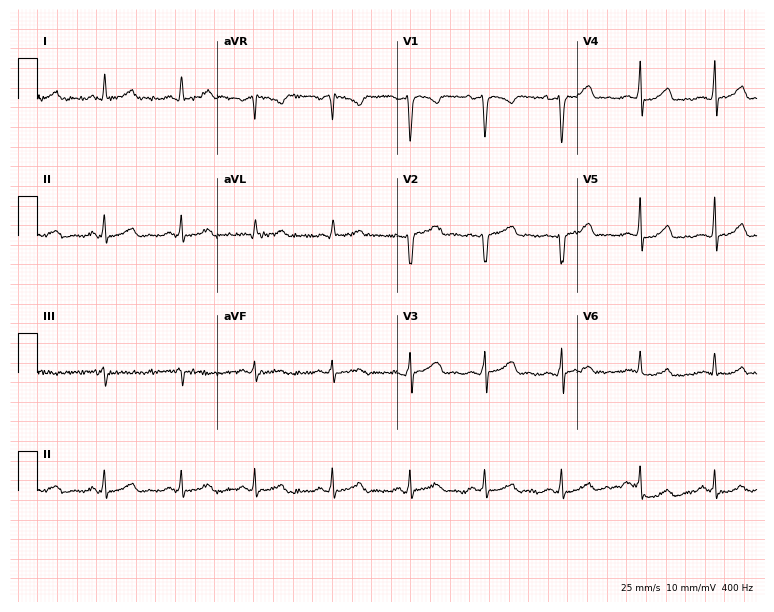
Standard 12-lead ECG recorded from a female patient, 29 years old (7.3-second recording at 400 Hz). None of these six findings is recorded: first-degree AV block, right bundle branch block, left bundle branch block, sinus bradycardia, atrial fibrillation, sinus tachycardia. Other findings, if any, are not listed.